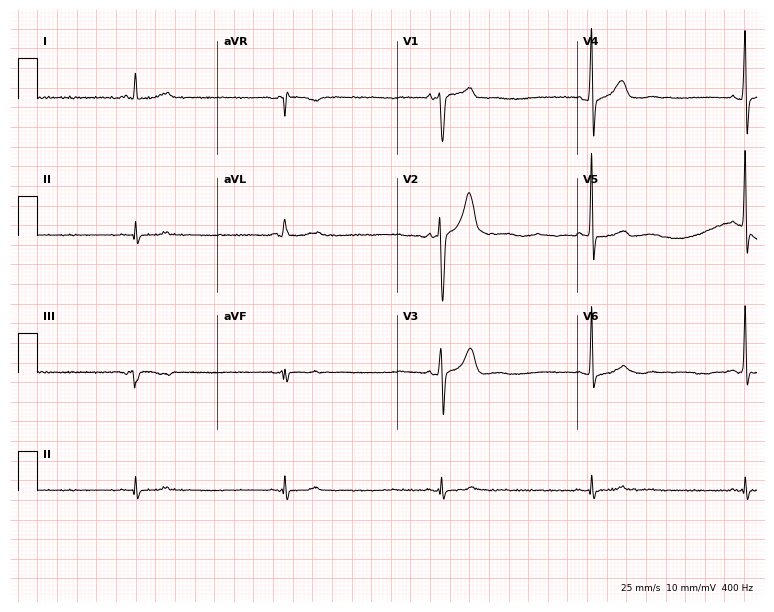
ECG — a male patient, 64 years old. Findings include sinus bradycardia (a sinus rate of 50 beats per minute or less).